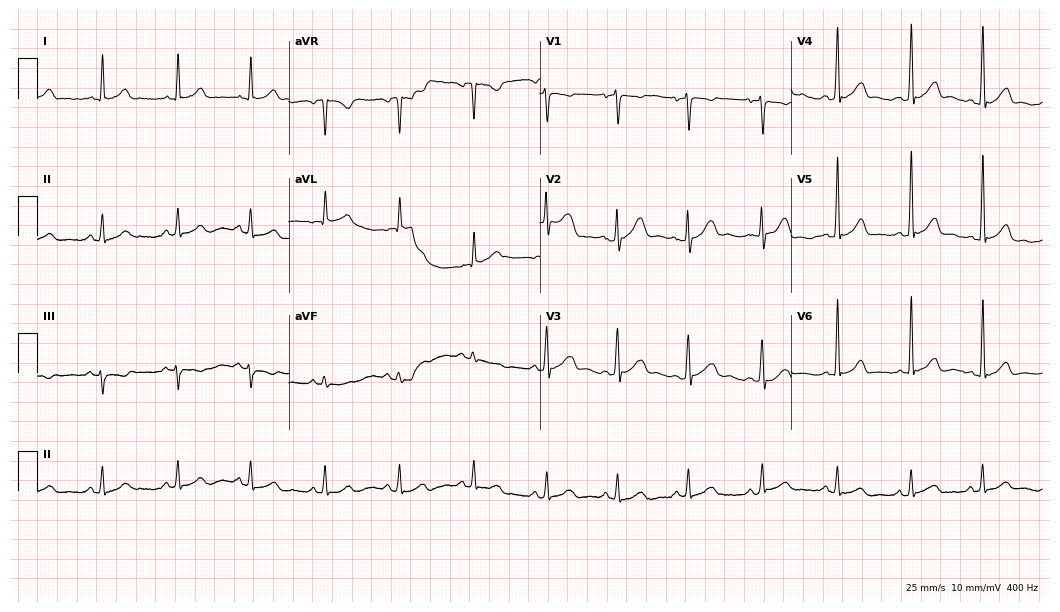
12-lead ECG from a female patient, 44 years old (10.2-second recording at 400 Hz). Recorded interpretation: within normal limits.